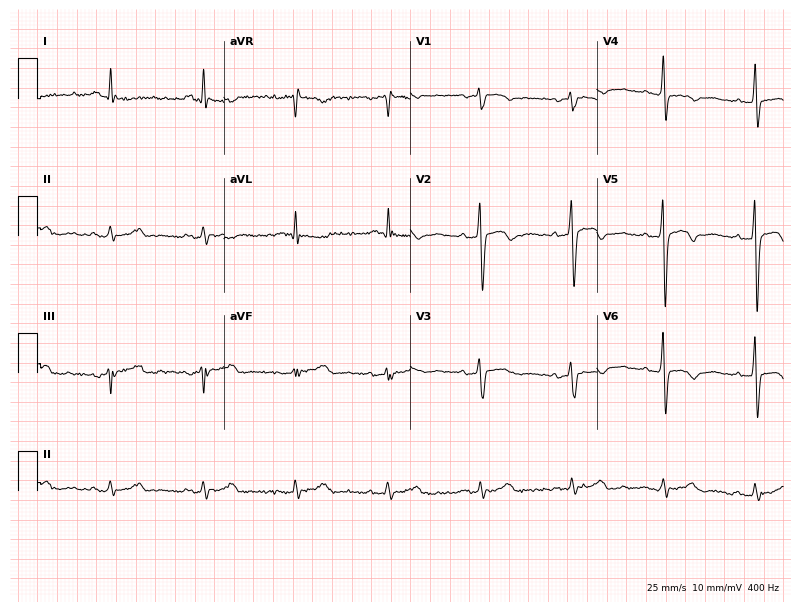
12-lead ECG from a 72-year-old male patient (7.6-second recording at 400 Hz). No first-degree AV block, right bundle branch block (RBBB), left bundle branch block (LBBB), sinus bradycardia, atrial fibrillation (AF) or sinus tachycardia recorded for this tracing. Only these six findings were labelled.